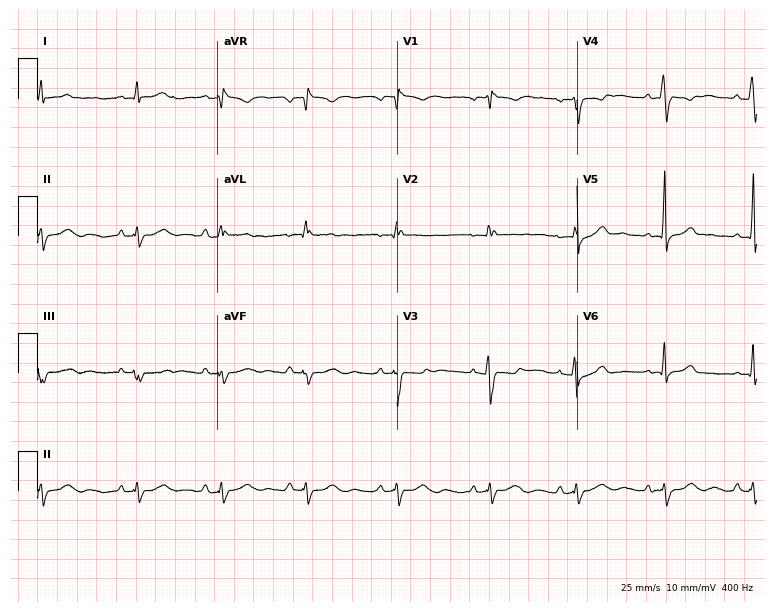
Standard 12-lead ECG recorded from a 21-year-old female (7.3-second recording at 400 Hz). Read as a normal ECG.